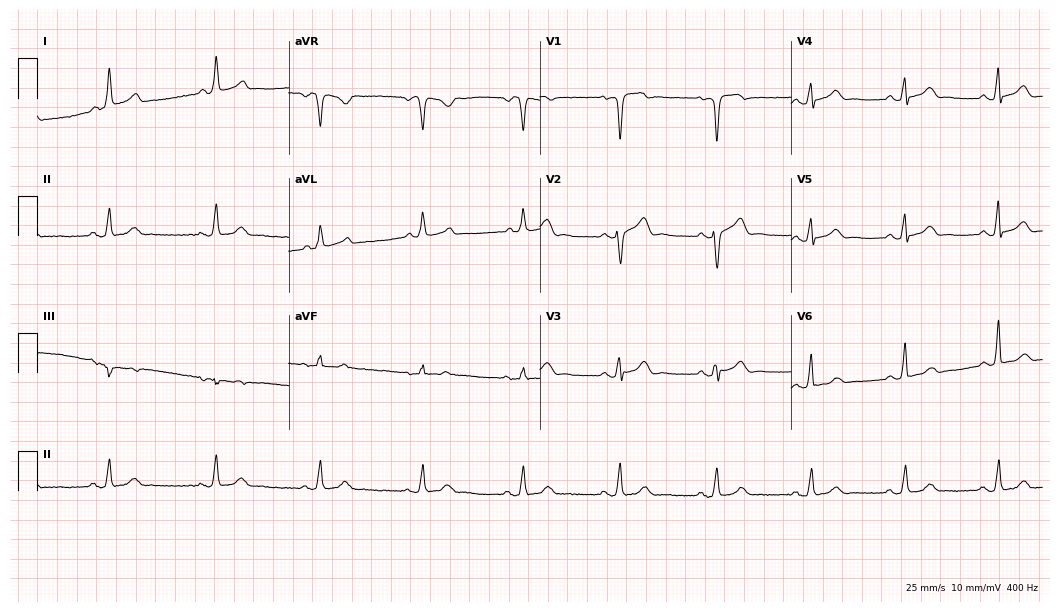
12-lead ECG from a 73-year-old woman. Recorded interpretation: within normal limits.